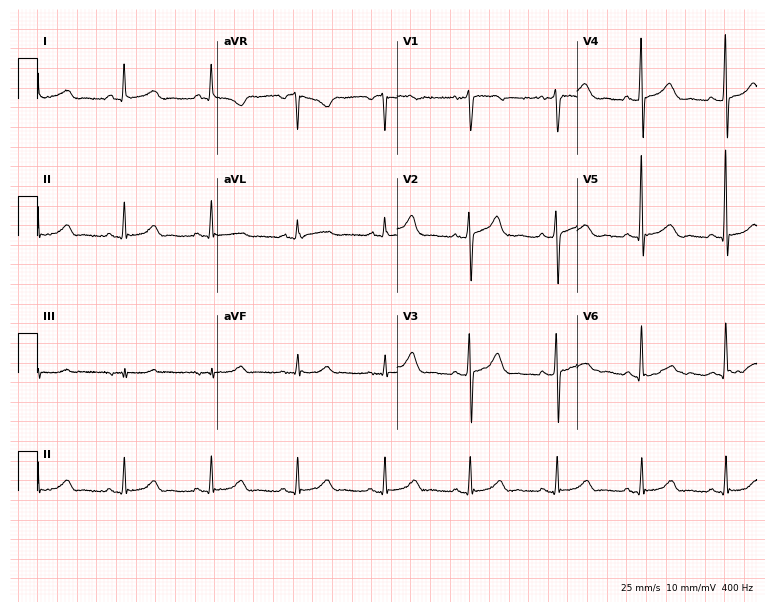
Resting 12-lead electrocardiogram. Patient: a 66-year-old female. Read as a normal ECG.